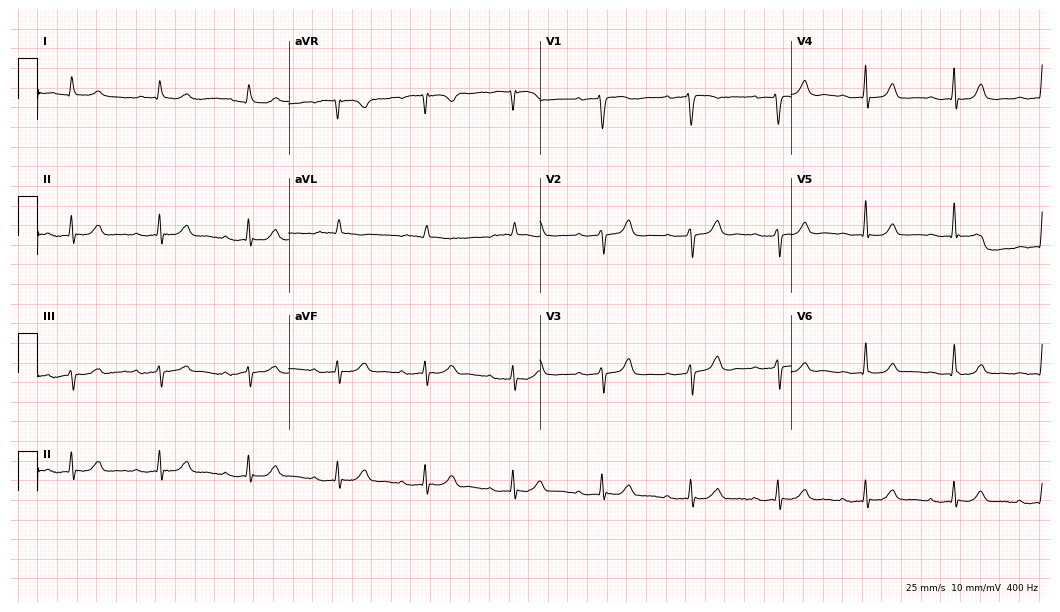
12-lead ECG (10.2-second recording at 400 Hz) from a 77-year-old male patient. Findings include first-degree AV block.